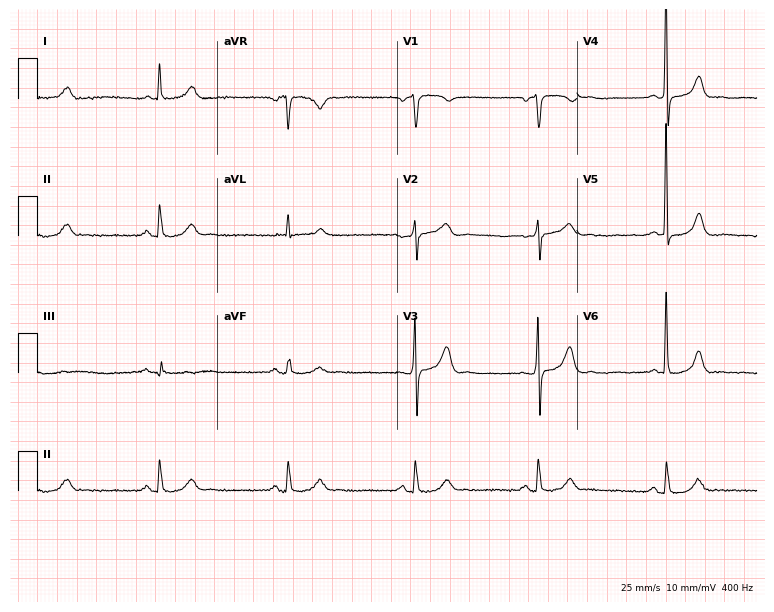
Standard 12-lead ECG recorded from a 66-year-old male patient (7.3-second recording at 400 Hz). The tracing shows sinus bradycardia (a sinus rate of 50 beats per minute or less).